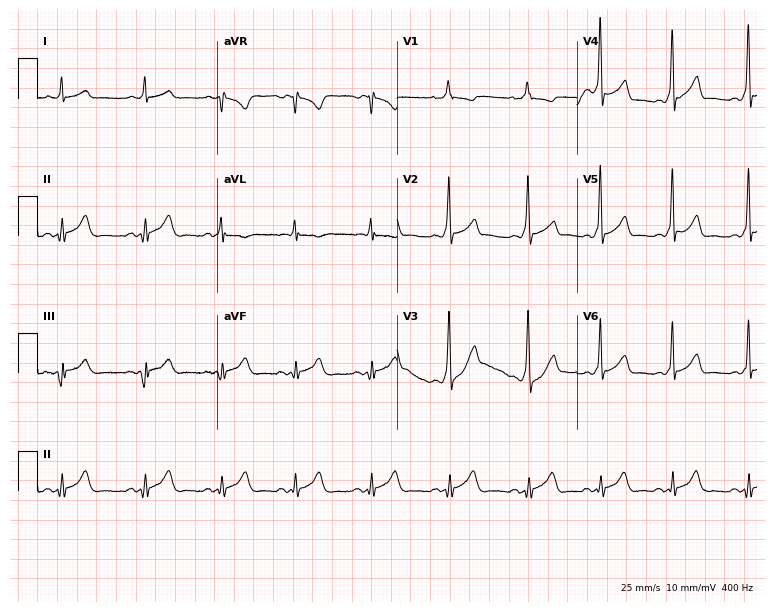
Resting 12-lead electrocardiogram (7.3-second recording at 400 Hz). Patient: a woman, 21 years old. None of these six findings is recorded: first-degree AV block, right bundle branch block, left bundle branch block, sinus bradycardia, atrial fibrillation, sinus tachycardia. Other findings, if any, are not listed.